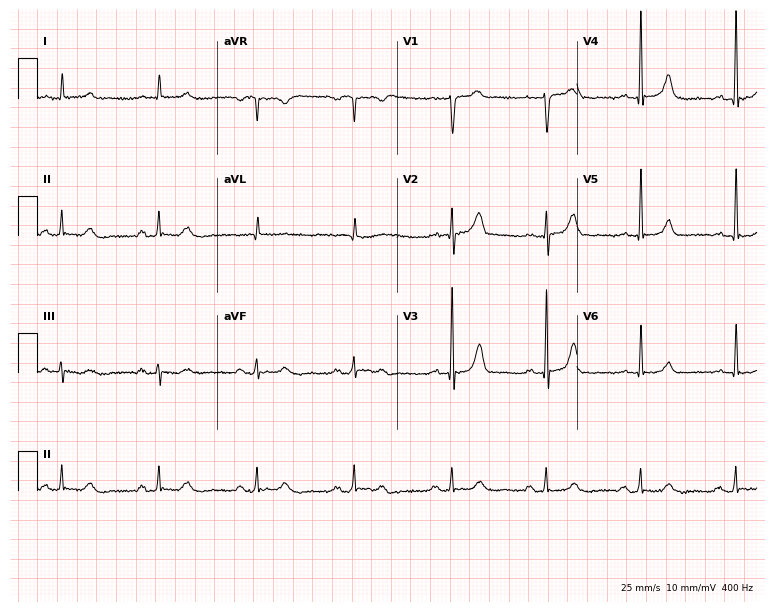
12-lead ECG from a man, 73 years old. No first-degree AV block, right bundle branch block (RBBB), left bundle branch block (LBBB), sinus bradycardia, atrial fibrillation (AF) or sinus tachycardia recorded for this tracing. Only these six findings were labelled.